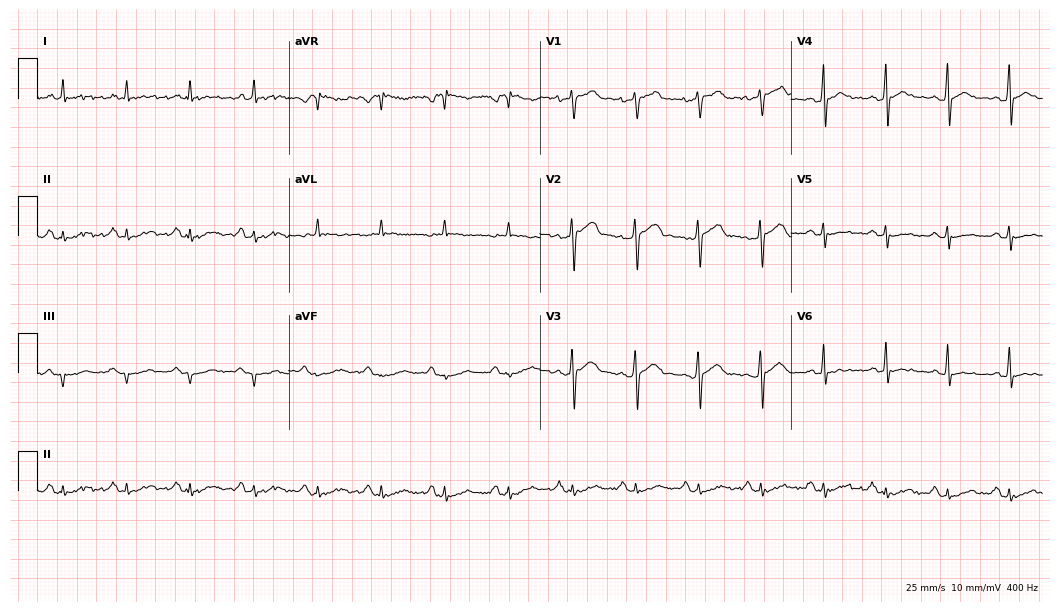
12-lead ECG from a 57-year-old male. Recorded interpretation: within normal limits.